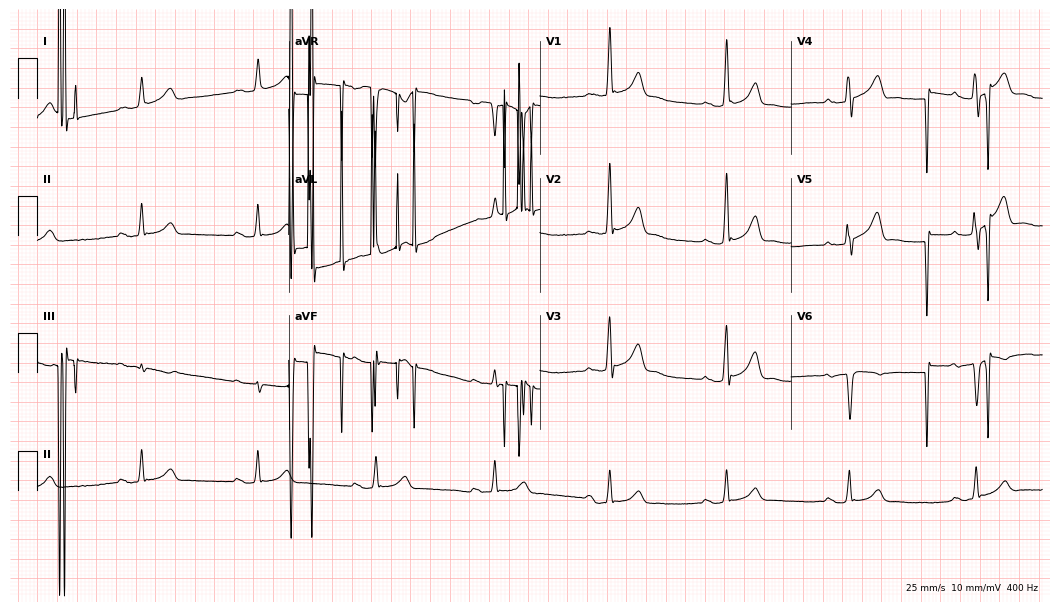
Electrocardiogram, a female, 59 years old. Of the six screened findings (first-degree AV block, right bundle branch block, left bundle branch block, sinus bradycardia, atrial fibrillation, sinus tachycardia), none is recorded.